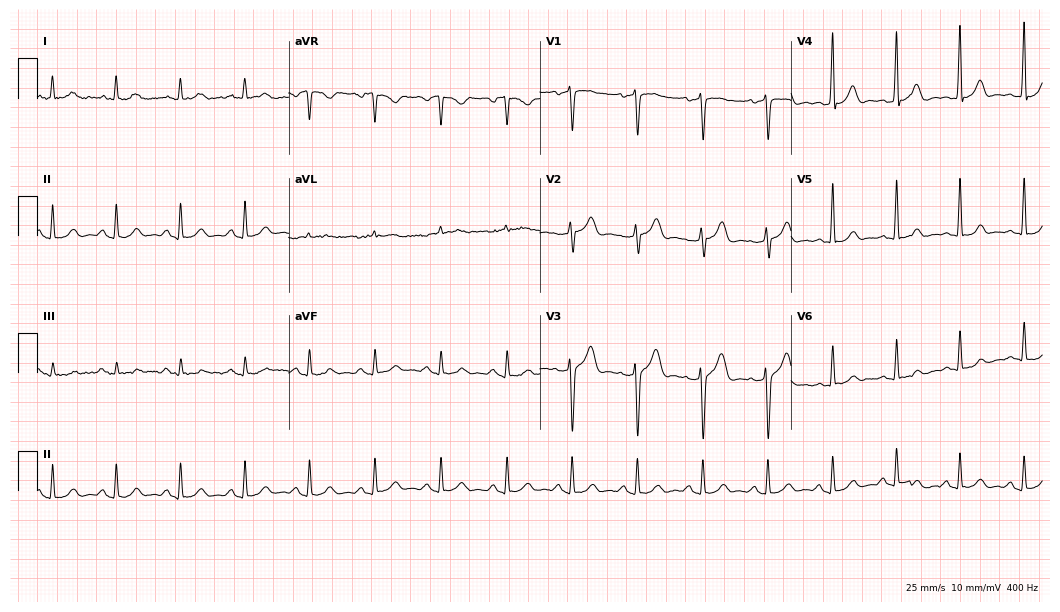
12-lead ECG (10.2-second recording at 400 Hz) from a 46-year-old male. Labelled as a normal ECG.